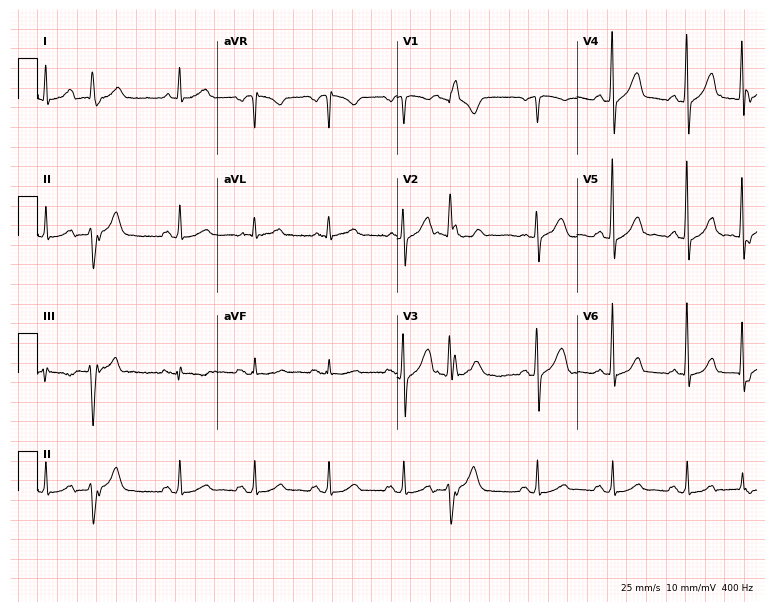
12-lead ECG from a 59-year-old male. No first-degree AV block, right bundle branch block, left bundle branch block, sinus bradycardia, atrial fibrillation or sinus tachycardia recorded for this tracing.